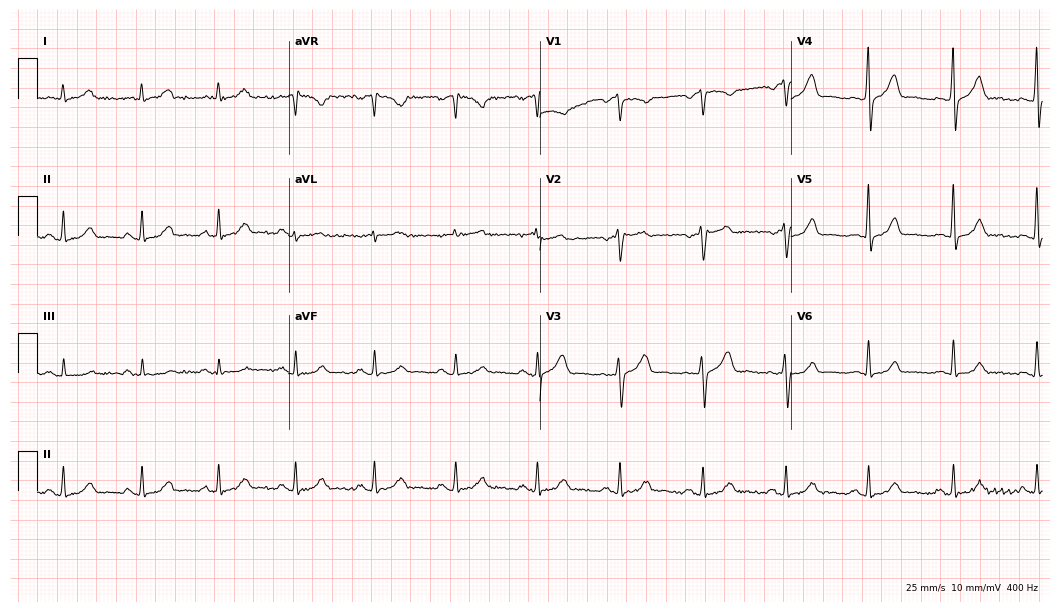
Standard 12-lead ECG recorded from a 66-year-old man (10.2-second recording at 400 Hz). None of these six findings is recorded: first-degree AV block, right bundle branch block (RBBB), left bundle branch block (LBBB), sinus bradycardia, atrial fibrillation (AF), sinus tachycardia. Findings outside these six are not listed.